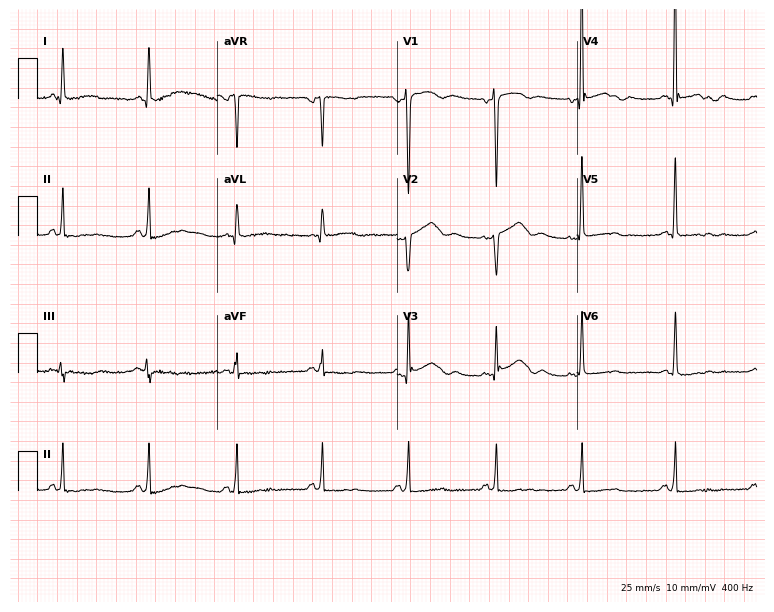
Standard 12-lead ECG recorded from a woman, 74 years old (7.3-second recording at 400 Hz). None of these six findings is recorded: first-degree AV block, right bundle branch block, left bundle branch block, sinus bradycardia, atrial fibrillation, sinus tachycardia.